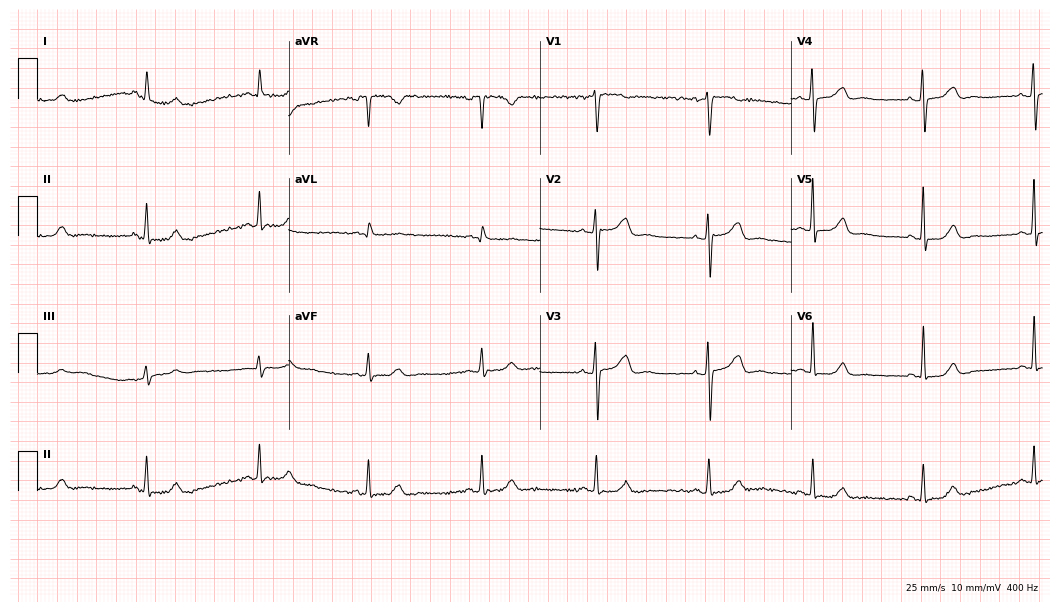
Resting 12-lead electrocardiogram. Patient: a 74-year-old woman. None of these six findings is recorded: first-degree AV block, right bundle branch block (RBBB), left bundle branch block (LBBB), sinus bradycardia, atrial fibrillation (AF), sinus tachycardia. Only these six findings were labelled.